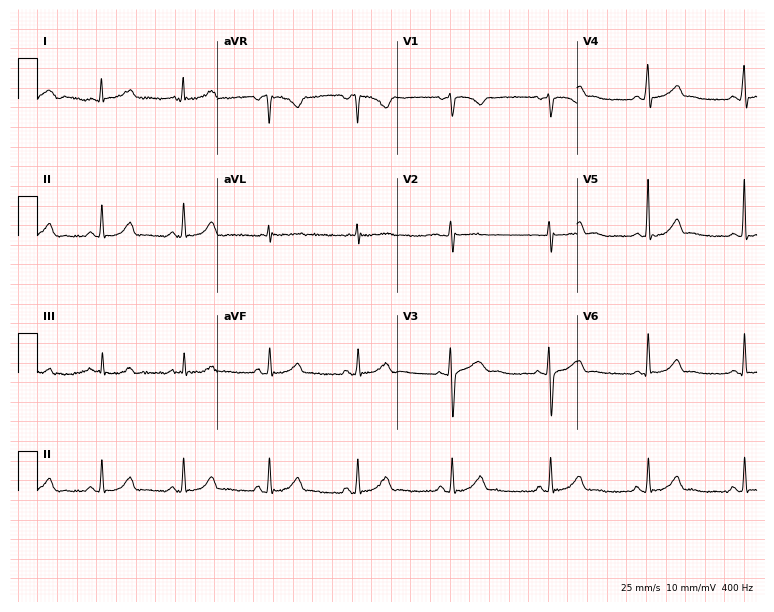
Resting 12-lead electrocardiogram (7.3-second recording at 400 Hz). Patient: a woman, 23 years old. None of these six findings is recorded: first-degree AV block, right bundle branch block, left bundle branch block, sinus bradycardia, atrial fibrillation, sinus tachycardia.